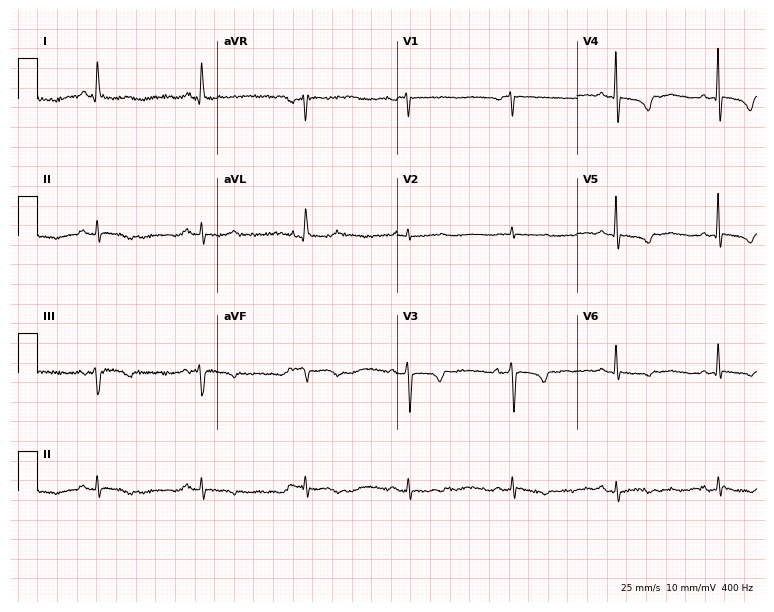
Electrocardiogram (7.3-second recording at 400 Hz), a female, 75 years old. Of the six screened findings (first-degree AV block, right bundle branch block, left bundle branch block, sinus bradycardia, atrial fibrillation, sinus tachycardia), none is recorded. Findings outside these six are not listed.